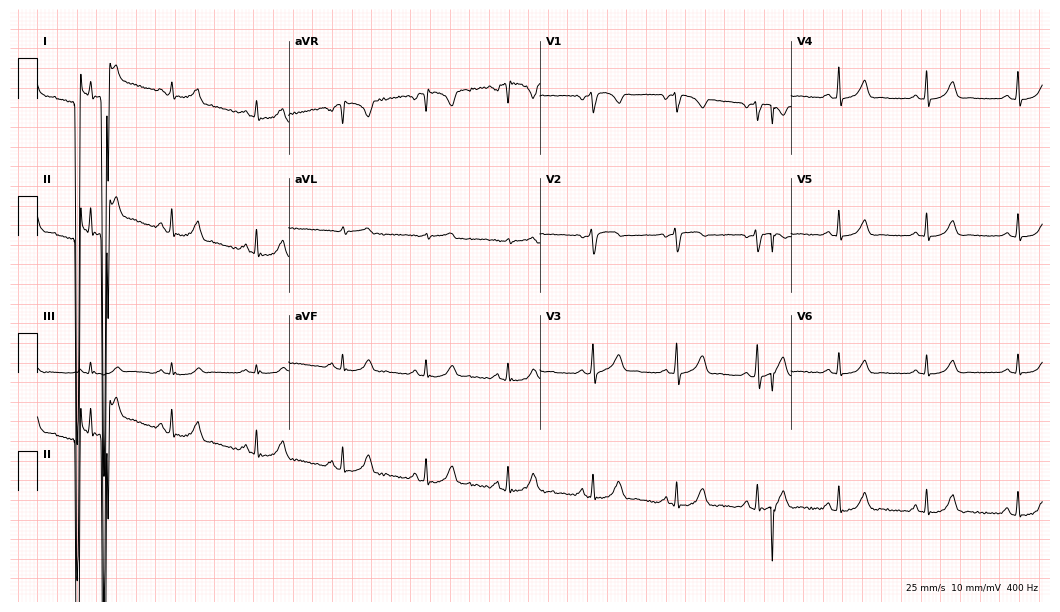
12-lead ECG from a 40-year-old female. Labelled as a normal ECG.